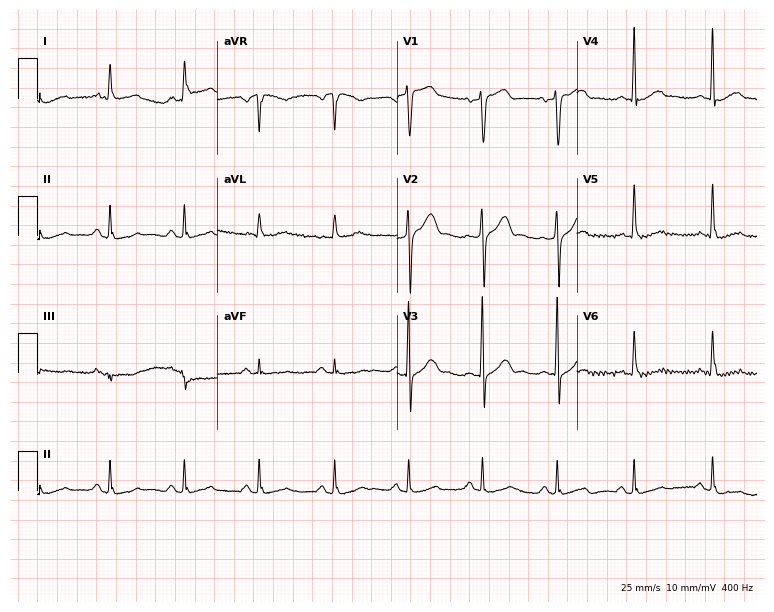
Electrocardiogram (7.3-second recording at 400 Hz), a man, 54 years old. Of the six screened findings (first-degree AV block, right bundle branch block, left bundle branch block, sinus bradycardia, atrial fibrillation, sinus tachycardia), none is recorded.